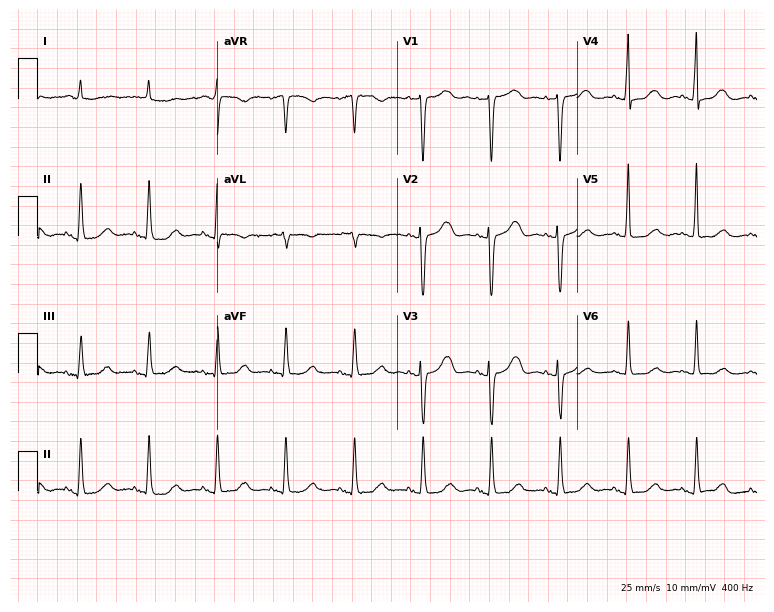
ECG — a female, 78 years old. Labelled as a normal ECG.